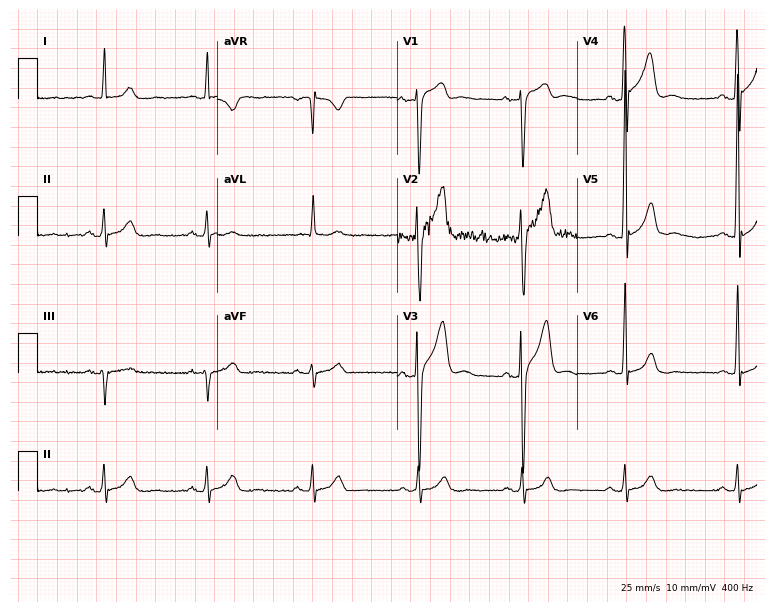
Resting 12-lead electrocardiogram. Patient: a 72-year-old man. None of these six findings is recorded: first-degree AV block, right bundle branch block, left bundle branch block, sinus bradycardia, atrial fibrillation, sinus tachycardia. Only these six findings were labelled.